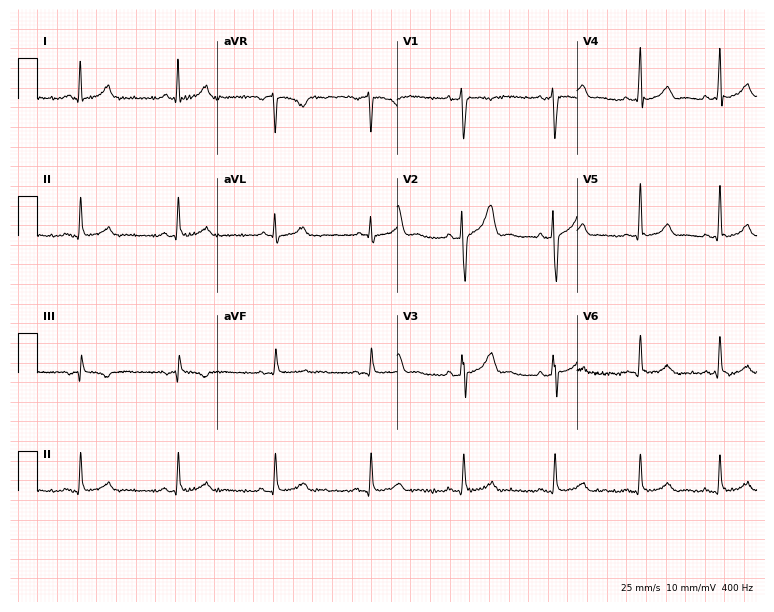
Standard 12-lead ECG recorded from a man, 43 years old (7.3-second recording at 400 Hz). Read as a normal ECG.